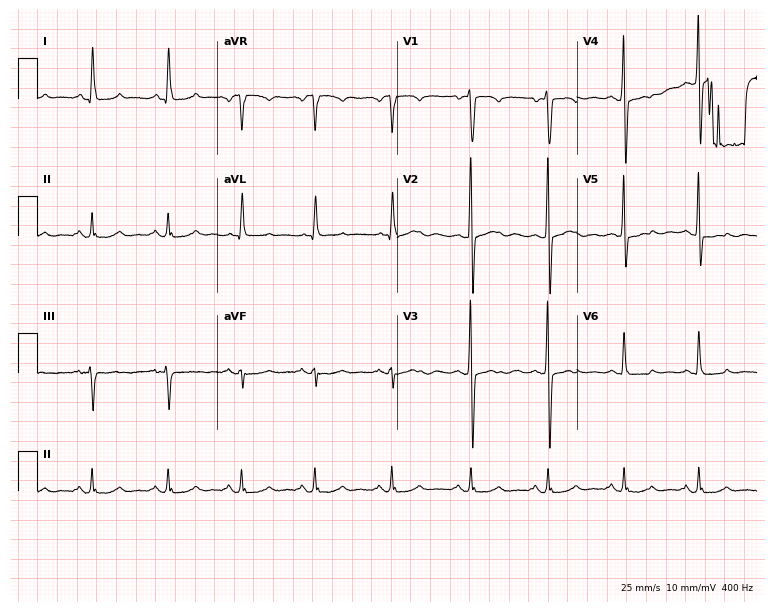
12-lead ECG from a woman, 58 years old. No first-degree AV block, right bundle branch block, left bundle branch block, sinus bradycardia, atrial fibrillation or sinus tachycardia recorded for this tracing. Only these six findings were labelled.